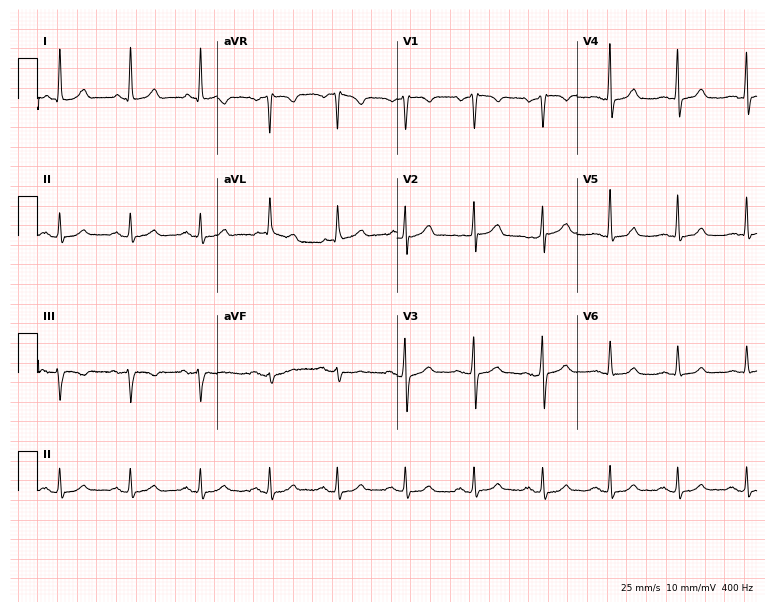
12-lead ECG from a 57-year-old female (7.3-second recording at 400 Hz). Recorded interpretation: within normal limits.